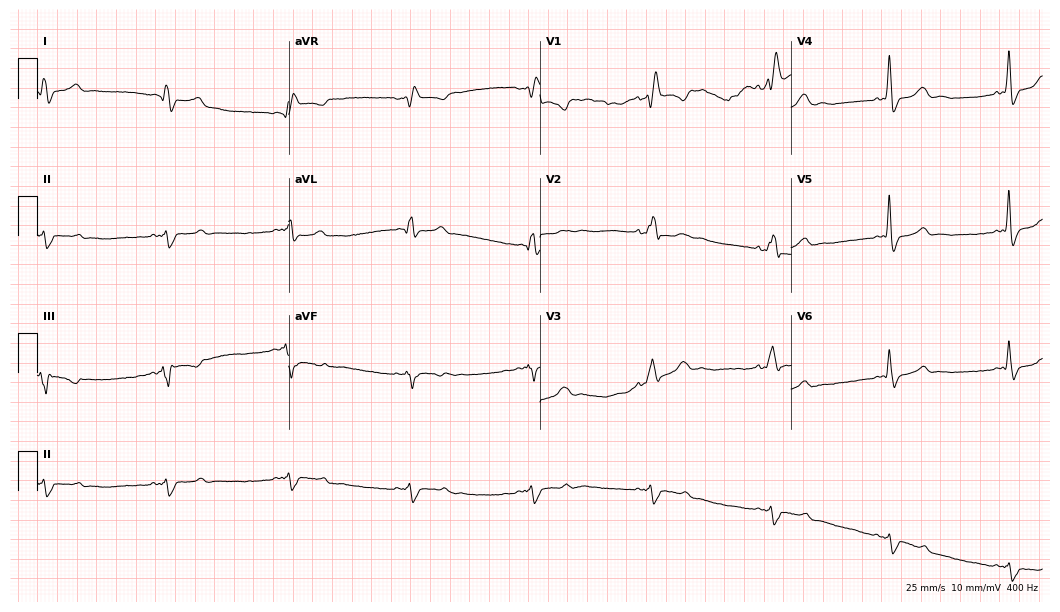
12-lead ECG (10.2-second recording at 400 Hz) from a 53-year-old female patient. Findings include right bundle branch block (RBBB), sinus bradycardia (a sinus rate of 50 beats per minute or less).